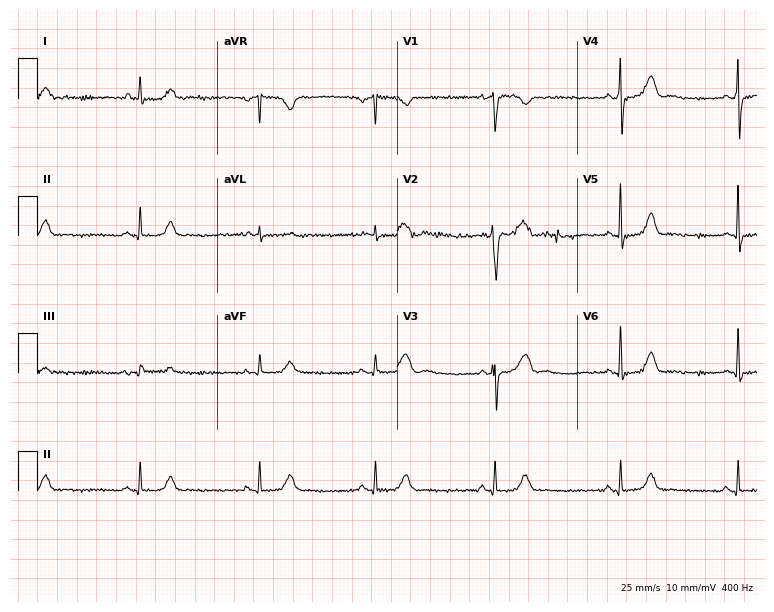
12-lead ECG from a 27-year-old female patient. Recorded interpretation: within normal limits.